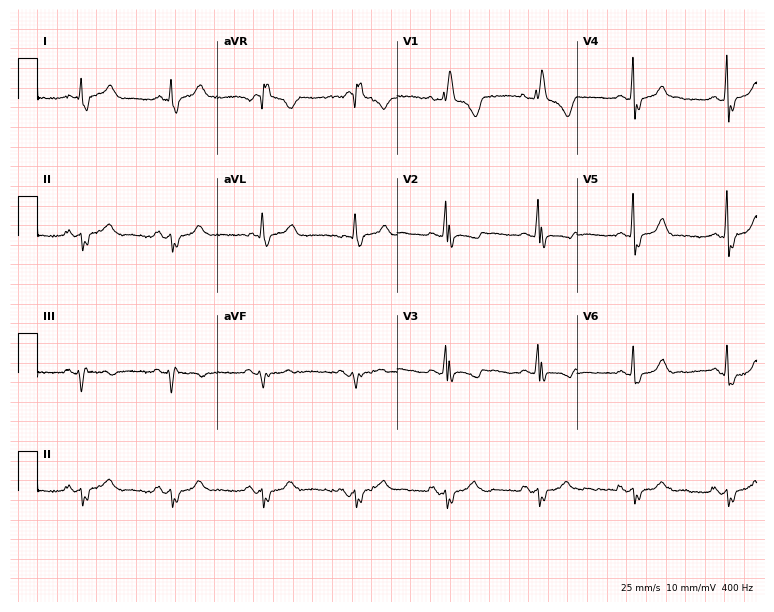
12-lead ECG from a female patient, 44 years old. Shows right bundle branch block.